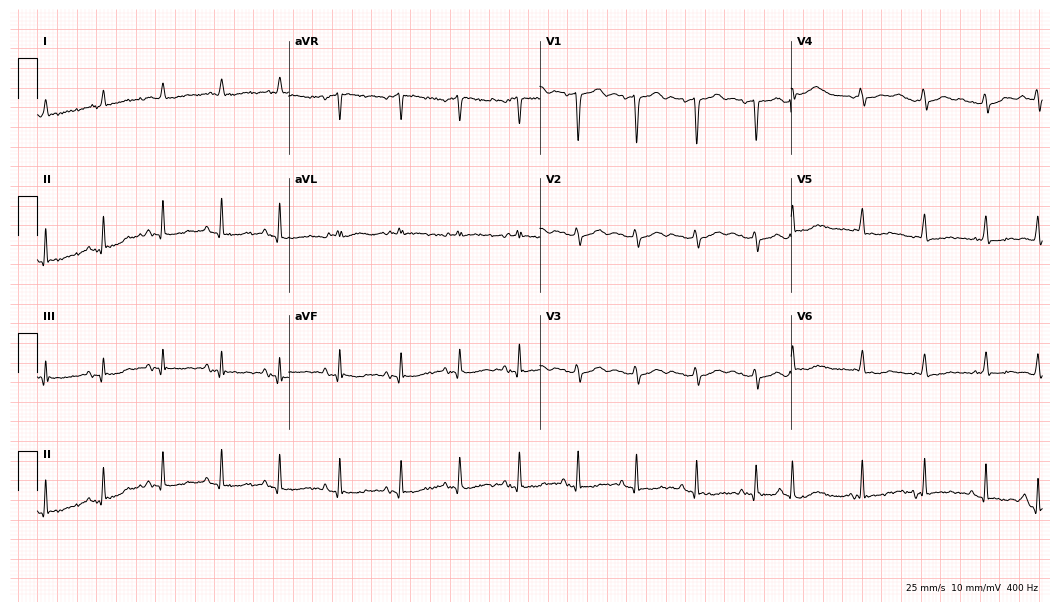
12-lead ECG from a male, 70 years old (10.2-second recording at 400 Hz). No first-degree AV block, right bundle branch block, left bundle branch block, sinus bradycardia, atrial fibrillation or sinus tachycardia recorded for this tracing. Other findings, if any, are not listed.